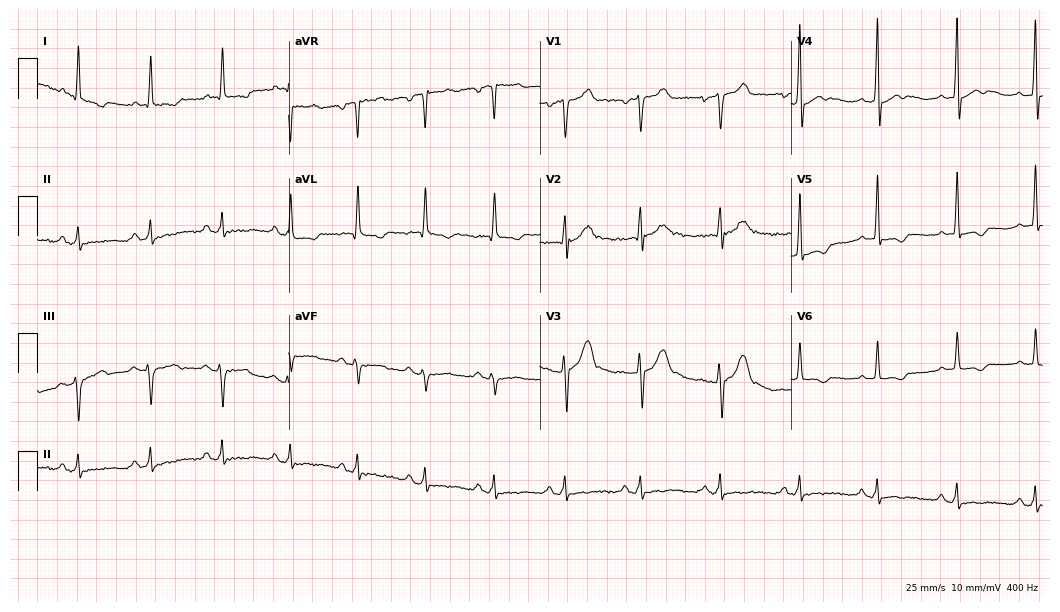
Standard 12-lead ECG recorded from a 44-year-old male patient (10.2-second recording at 400 Hz). None of these six findings is recorded: first-degree AV block, right bundle branch block, left bundle branch block, sinus bradycardia, atrial fibrillation, sinus tachycardia.